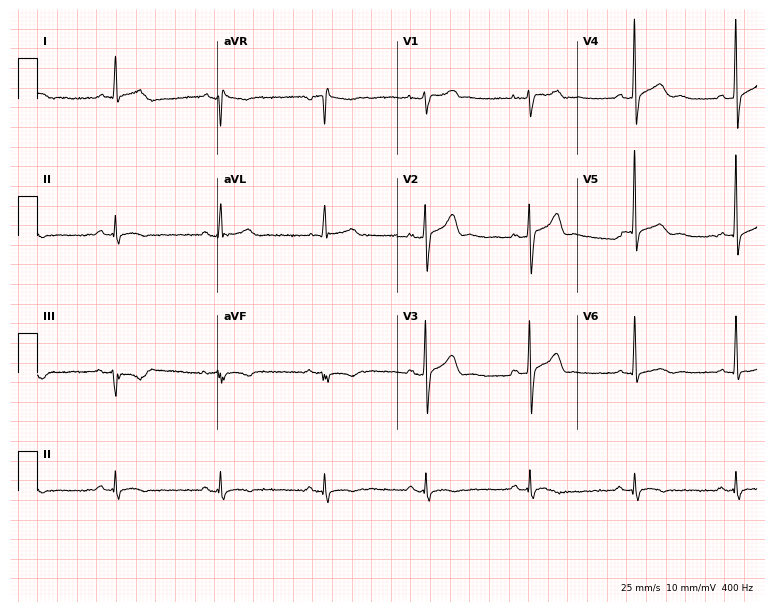
ECG (7.3-second recording at 400 Hz) — a man, 45 years old. Screened for six findings — first-degree AV block, right bundle branch block (RBBB), left bundle branch block (LBBB), sinus bradycardia, atrial fibrillation (AF), sinus tachycardia — none is recorded.